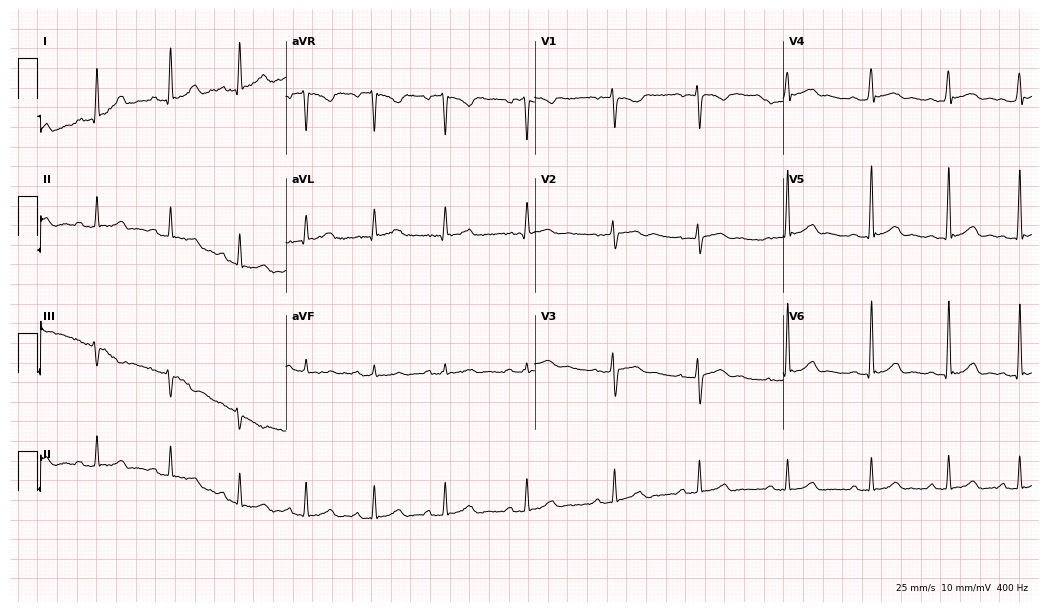
Standard 12-lead ECG recorded from a 36-year-old female. Read as a normal ECG.